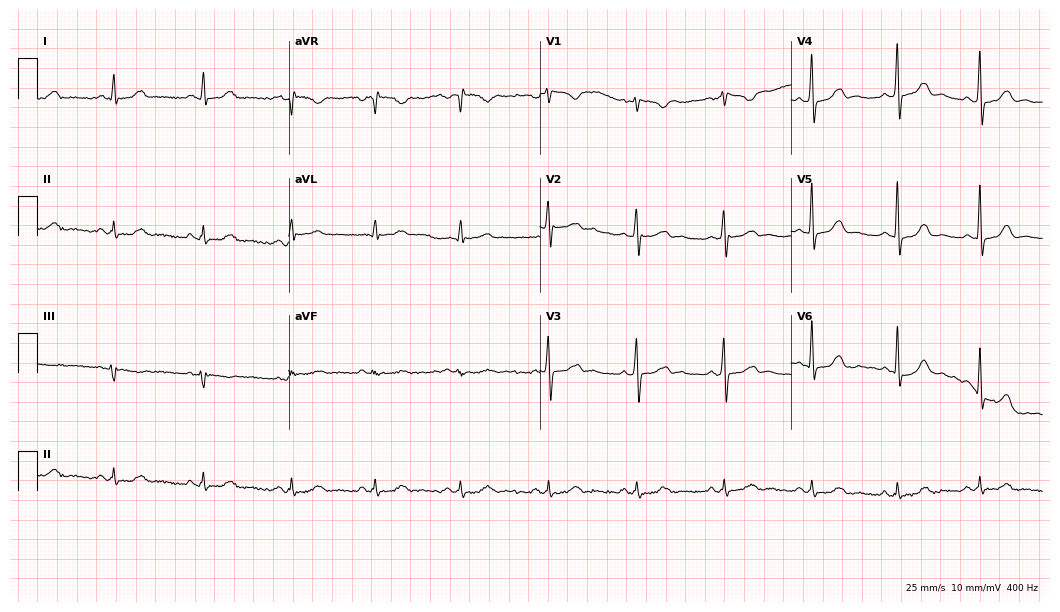
ECG (10.2-second recording at 400 Hz) — a female, 31 years old. Labelled as a normal ECG.